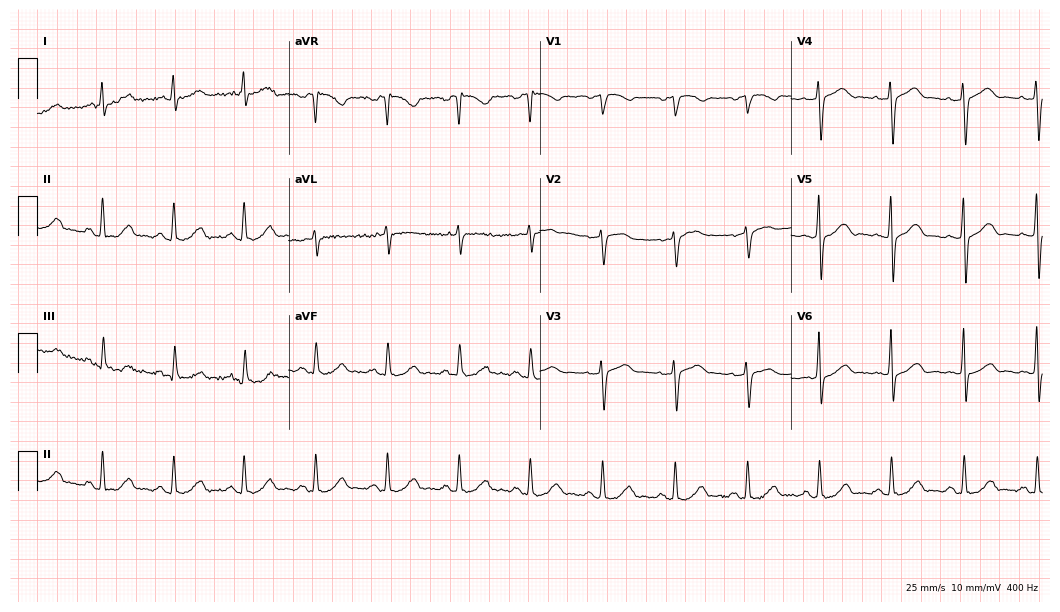
Standard 12-lead ECG recorded from a male, 65 years old. None of these six findings is recorded: first-degree AV block, right bundle branch block (RBBB), left bundle branch block (LBBB), sinus bradycardia, atrial fibrillation (AF), sinus tachycardia. Only these six findings were labelled.